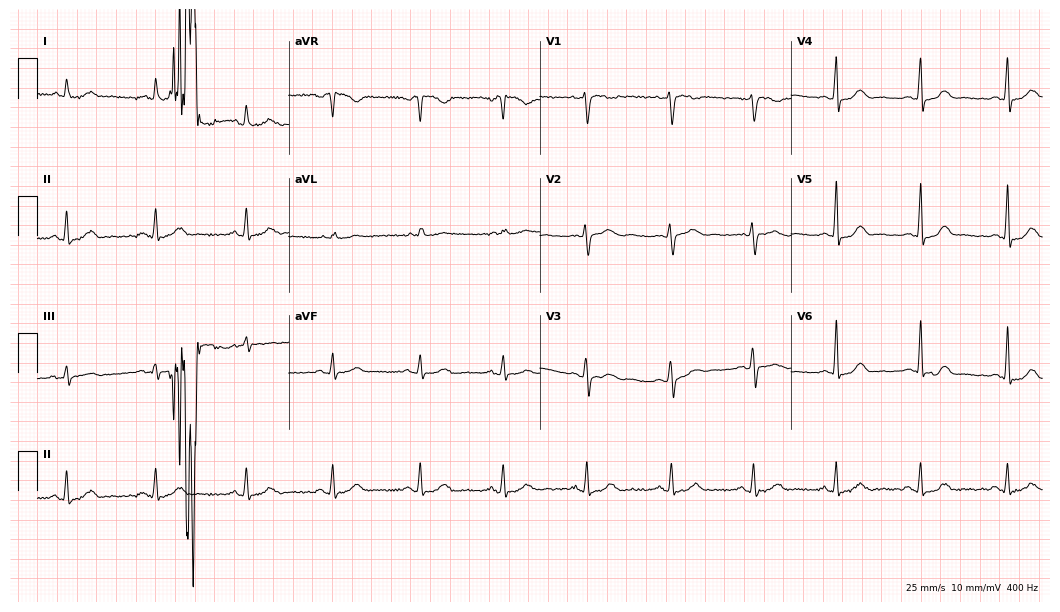
12-lead ECG from a female patient, 41 years old. Recorded interpretation: within normal limits.